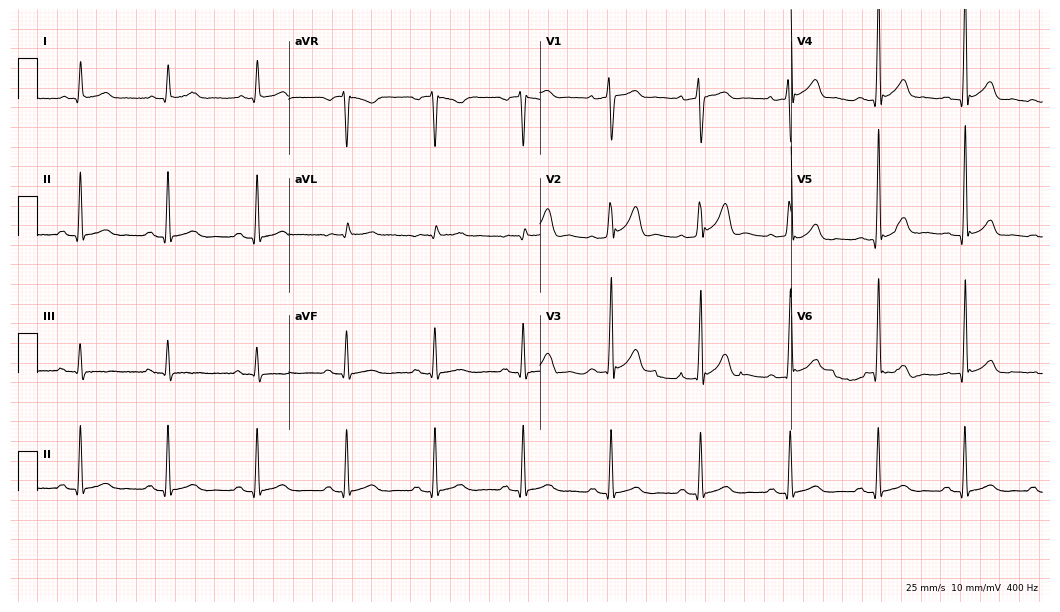
Standard 12-lead ECG recorded from a male, 73 years old. Read as a normal ECG.